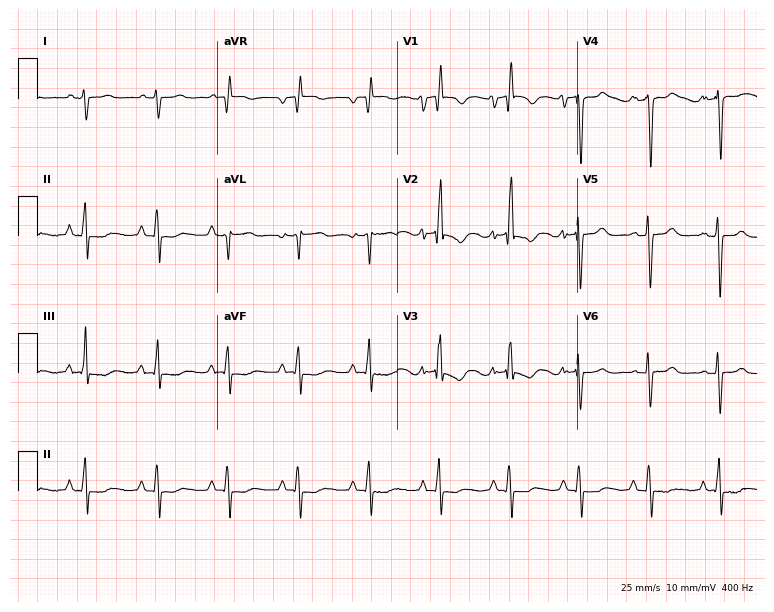
12-lead ECG from a male patient, 75 years old. Screened for six findings — first-degree AV block, right bundle branch block, left bundle branch block, sinus bradycardia, atrial fibrillation, sinus tachycardia — none is recorded. Only these six findings were labelled.